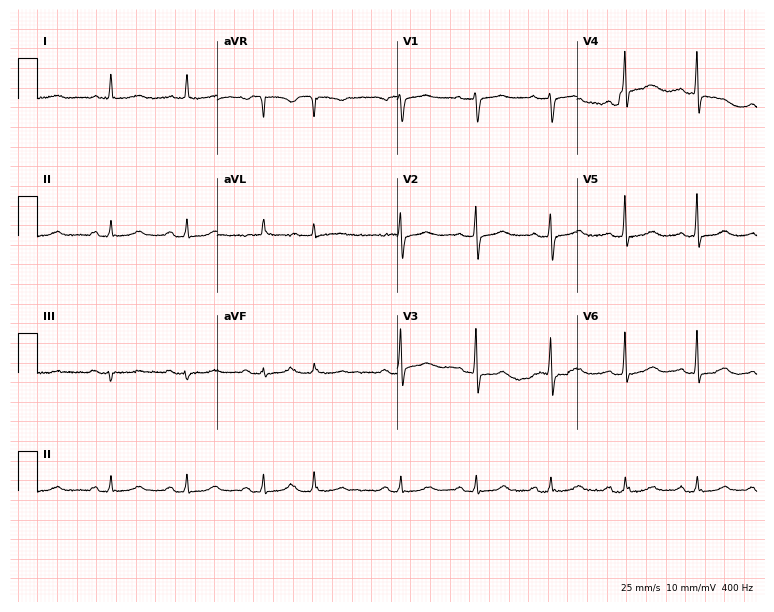
12-lead ECG from a 76-year-old female (7.3-second recording at 400 Hz). No first-degree AV block, right bundle branch block, left bundle branch block, sinus bradycardia, atrial fibrillation or sinus tachycardia recorded for this tracing.